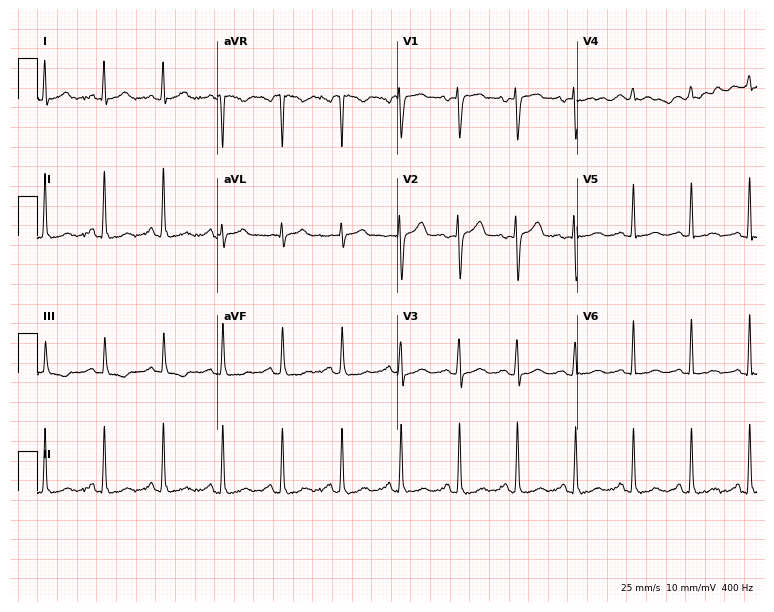
ECG — a 37-year-old woman. Findings include sinus tachycardia (a sinus rate of 100 beats per minute or more).